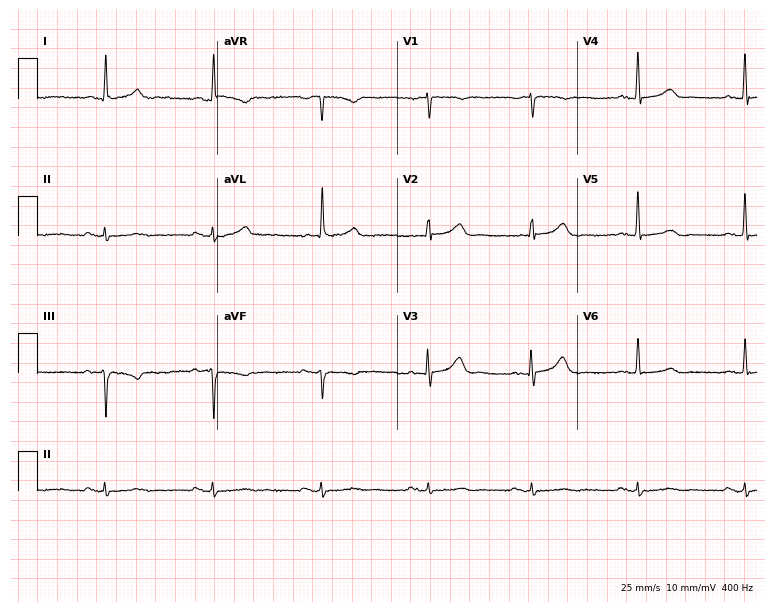
Electrocardiogram, a female patient, 80 years old. Of the six screened findings (first-degree AV block, right bundle branch block, left bundle branch block, sinus bradycardia, atrial fibrillation, sinus tachycardia), none is recorded. Only these six findings were labelled.